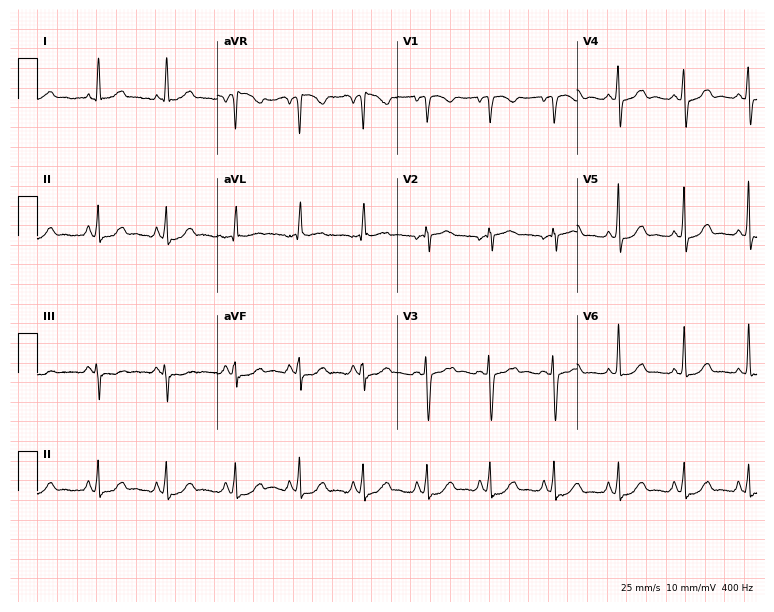
ECG — a 57-year-old female patient. Labelled as a normal ECG.